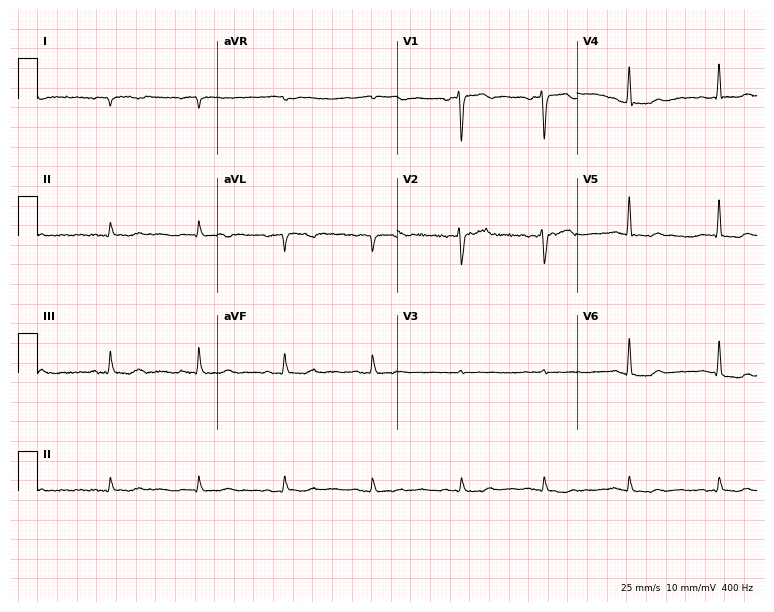
Electrocardiogram, a 61-year-old female patient. Of the six screened findings (first-degree AV block, right bundle branch block, left bundle branch block, sinus bradycardia, atrial fibrillation, sinus tachycardia), none is recorded. Other findings, if any, are not listed.